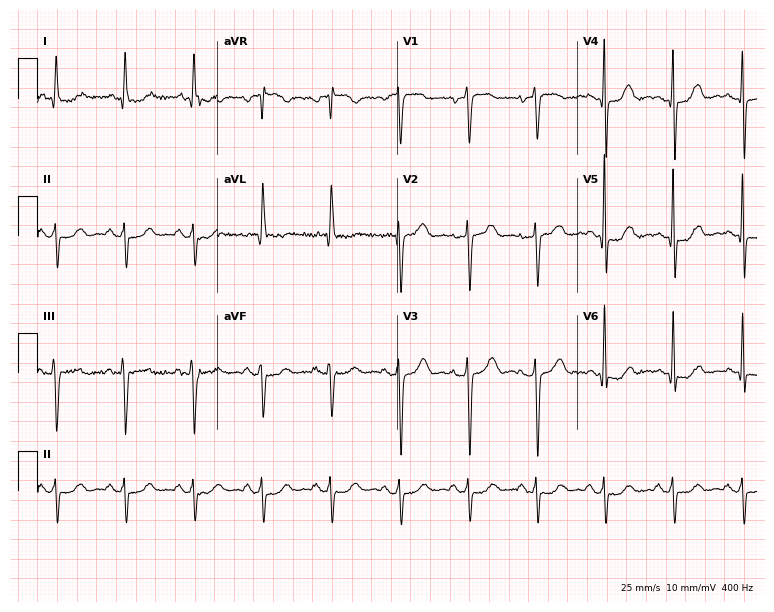
Electrocardiogram, a woman, 73 years old. Of the six screened findings (first-degree AV block, right bundle branch block, left bundle branch block, sinus bradycardia, atrial fibrillation, sinus tachycardia), none is recorded. Findings outside these six are not listed.